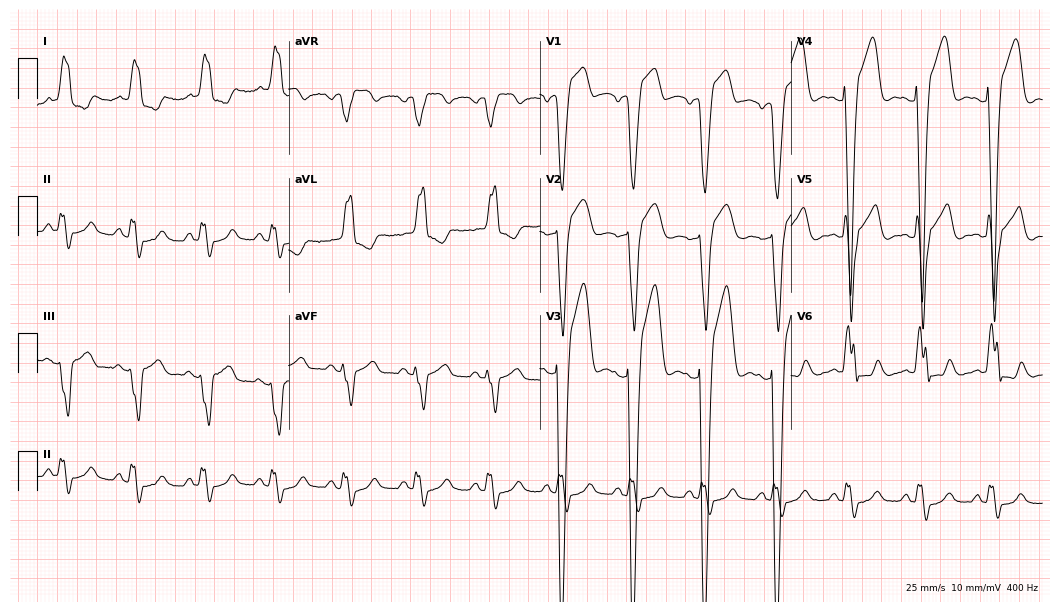
ECG — a male, 84 years old. Findings include left bundle branch block (LBBB).